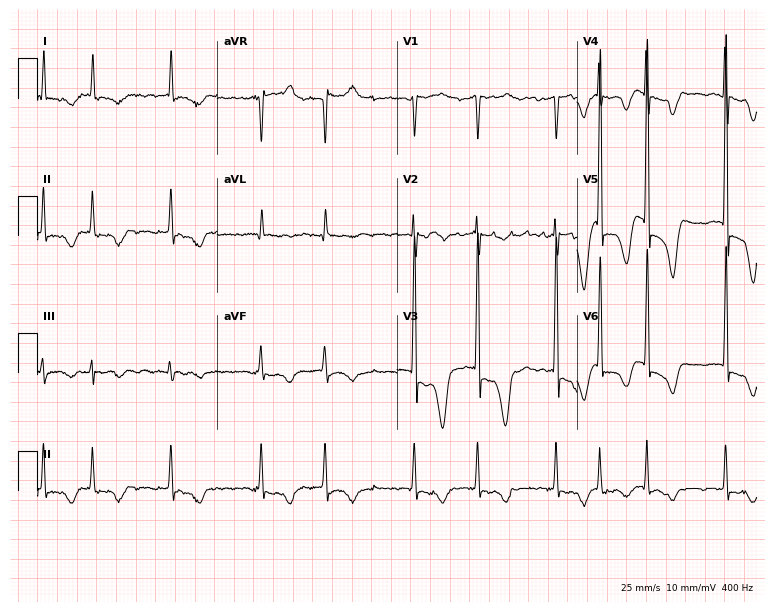
12-lead ECG from an 80-year-old female patient (7.3-second recording at 400 Hz). Shows atrial fibrillation (AF).